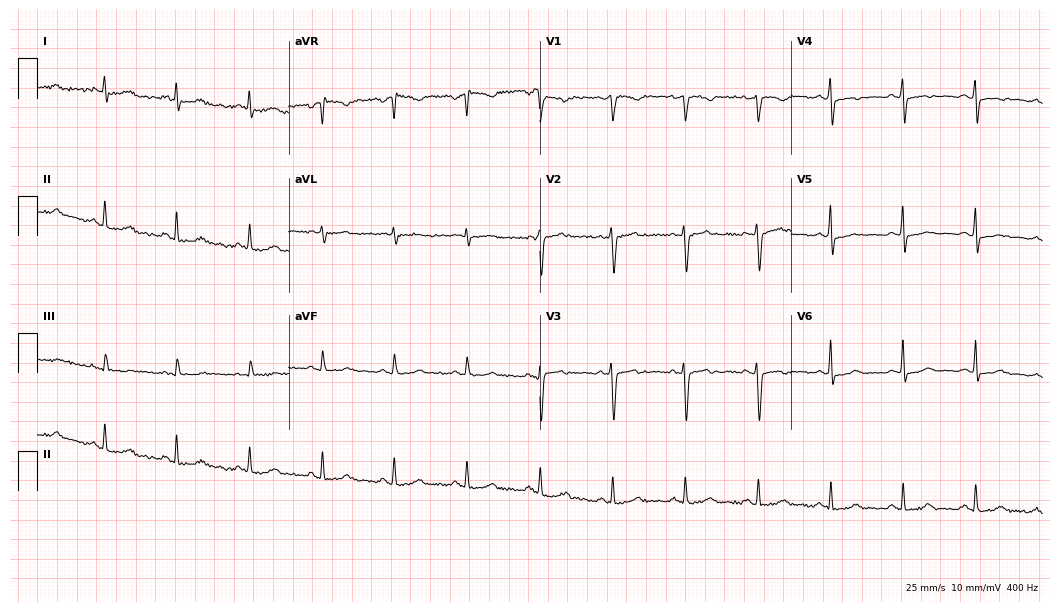
ECG (10.2-second recording at 400 Hz) — a female patient, 37 years old. Screened for six findings — first-degree AV block, right bundle branch block, left bundle branch block, sinus bradycardia, atrial fibrillation, sinus tachycardia — none is recorded. Other findings, if any, are not listed.